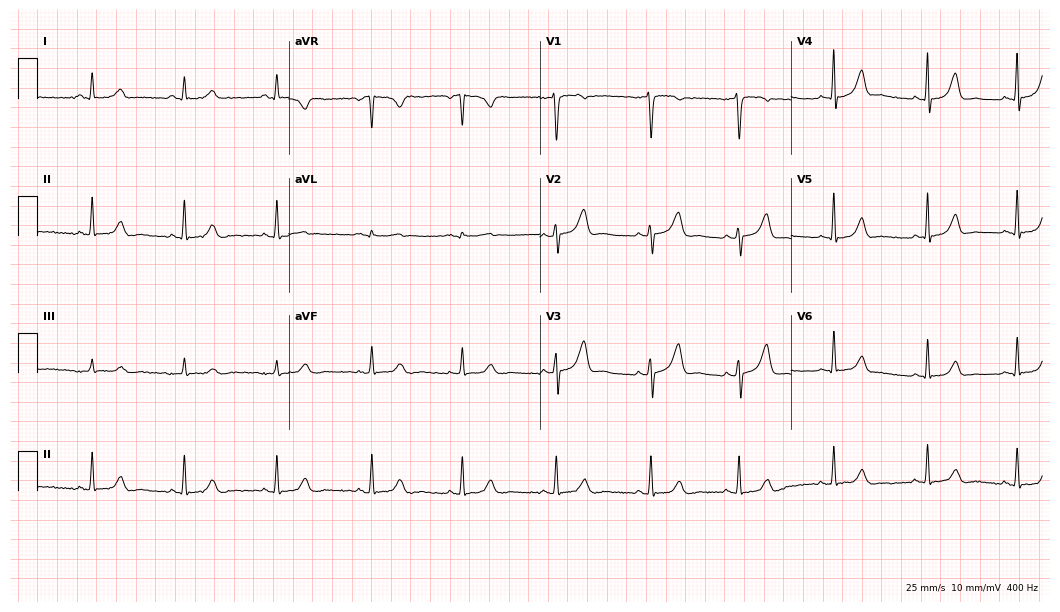
Electrocardiogram (10.2-second recording at 400 Hz), a 28-year-old female patient. Overall reading on record: normal ECG.